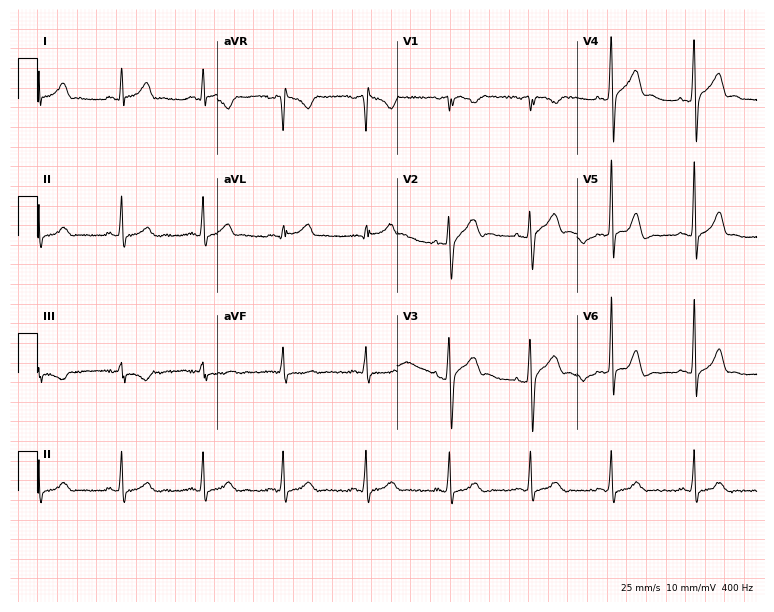
Standard 12-lead ECG recorded from a man, 23 years old. Read as a normal ECG.